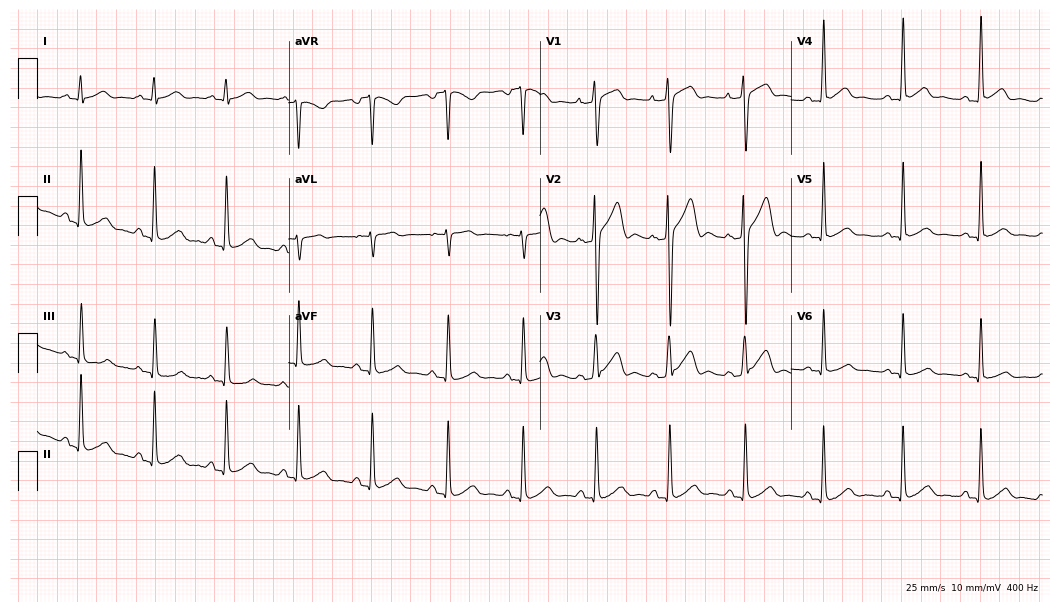
Electrocardiogram (10.2-second recording at 400 Hz), a male patient, 22 years old. Of the six screened findings (first-degree AV block, right bundle branch block, left bundle branch block, sinus bradycardia, atrial fibrillation, sinus tachycardia), none is recorded. Only these six findings were labelled.